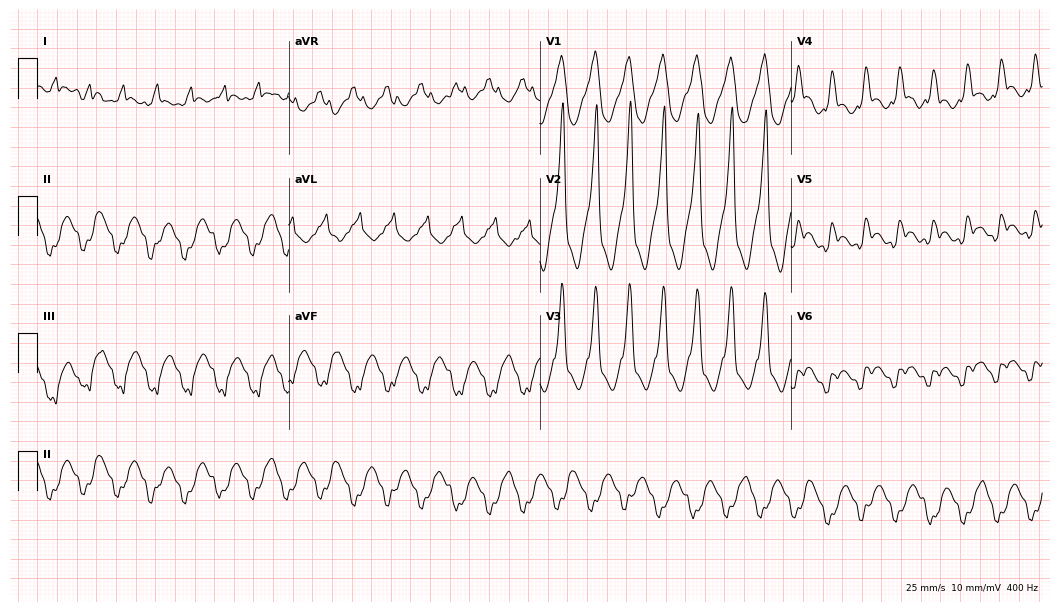
ECG — a female, 77 years old. Findings include sinus tachycardia (a sinus rate of 100 beats per minute or more).